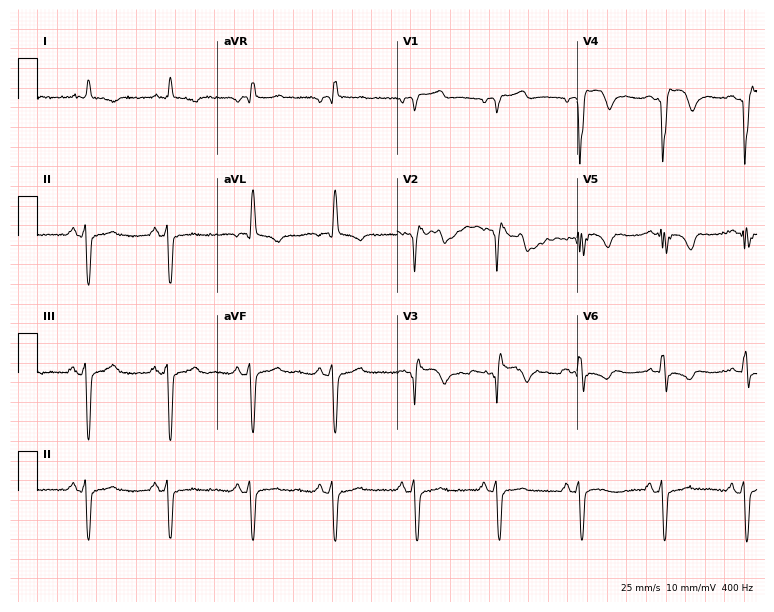
Resting 12-lead electrocardiogram. Patient: an 84-year-old male. None of these six findings is recorded: first-degree AV block, right bundle branch block, left bundle branch block, sinus bradycardia, atrial fibrillation, sinus tachycardia.